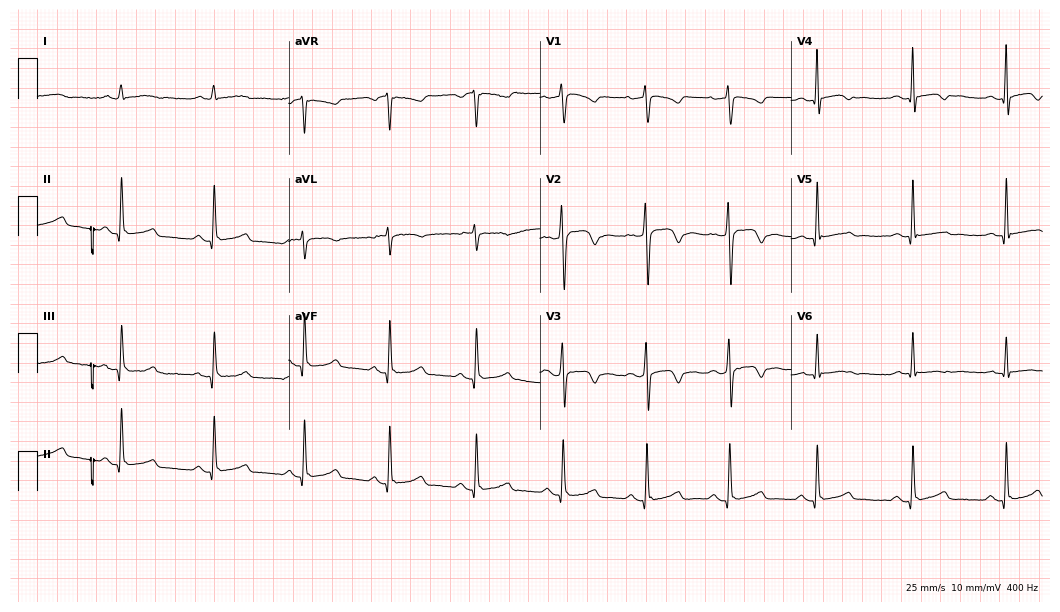
Resting 12-lead electrocardiogram. Patient: a woman, 46 years old. None of these six findings is recorded: first-degree AV block, right bundle branch block, left bundle branch block, sinus bradycardia, atrial fibrillation, sinus tachycardia. Findings outside these six are not listed.